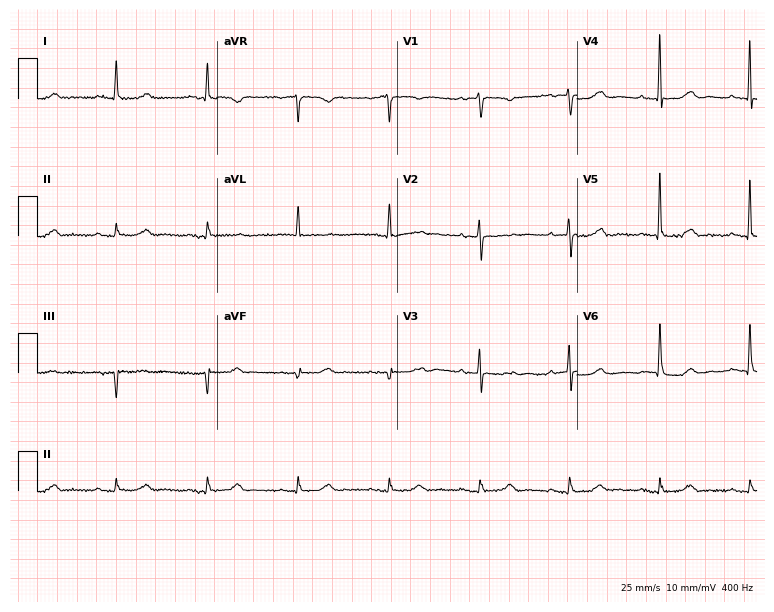
Electrocardiogram (7.3-second recording at 400 Hz), a female, 85 years old. Of the six screened findings (first-degree AV block, right bundle branch block (RBBB), left bundle branch block (LBBB), sinus bradycardia, atrial fibrillation (AF), sinus tachycardia), none is recorded.